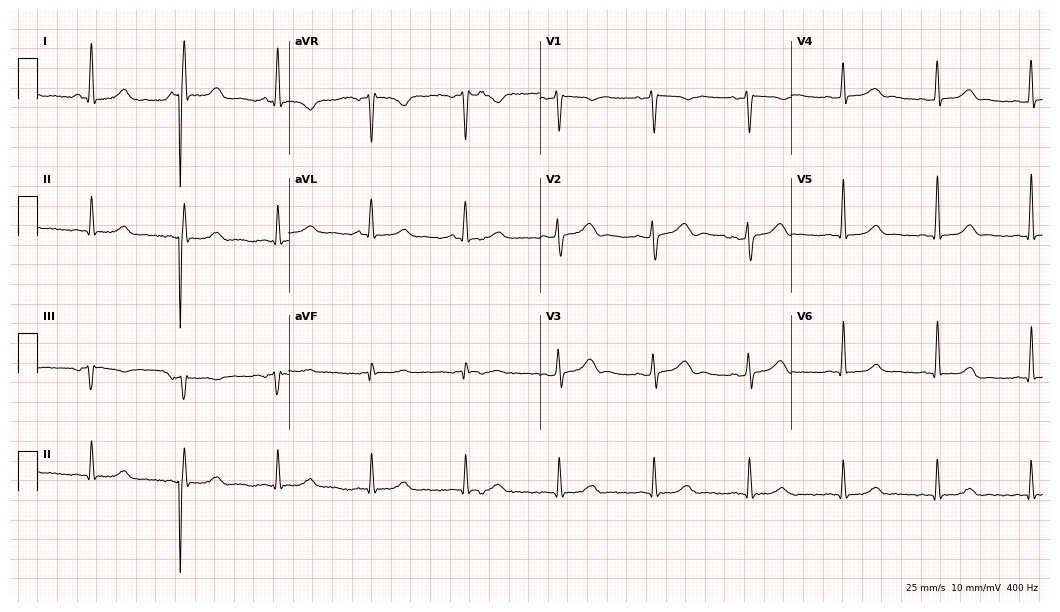
Standard 12-lead ECG recorded from a 24-year-old female patient (10.2-second recording at 400 Hz). Read as a normal ECG.